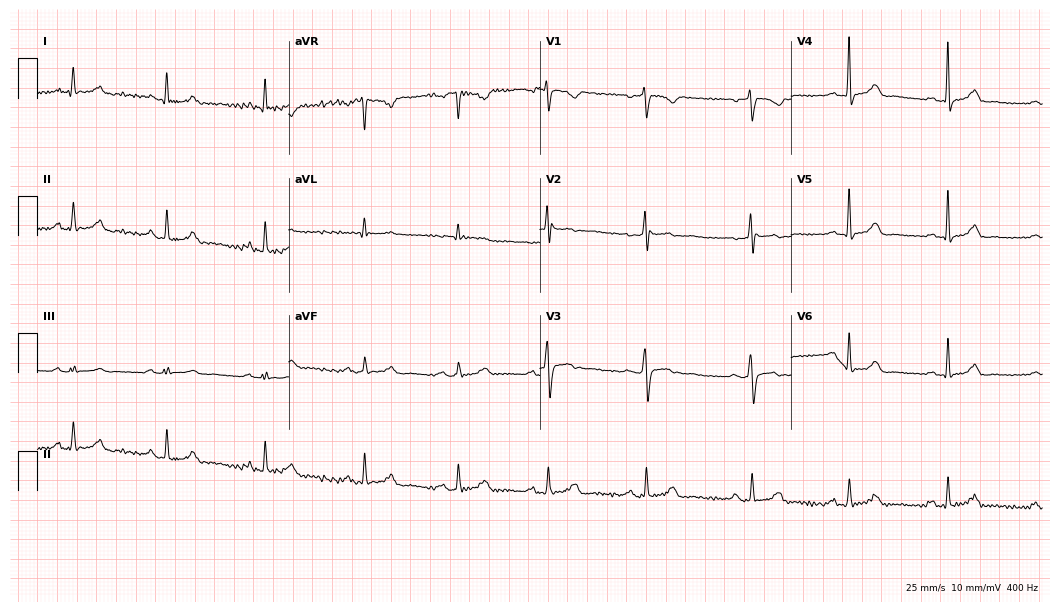
ECG (10.2-second recording at 400 Hz) — a 30-year-old female. Screened for six findings — first-degree AV block, right bundle branch block, left bundle branch block, sinus bradycardia, atrial fibrillation, sinus tachycardia — none is recorded.